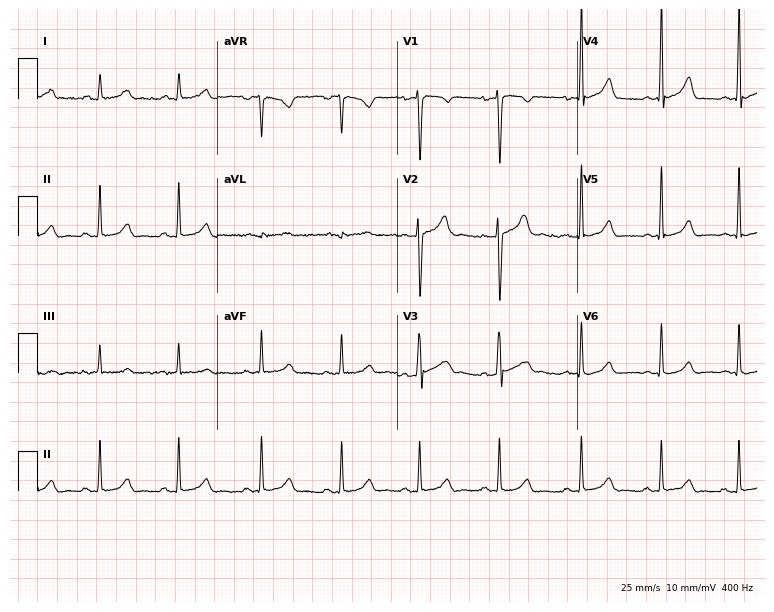
Electrocardiogram, a man, 36 years old. Overall reading on record: normal ECG.